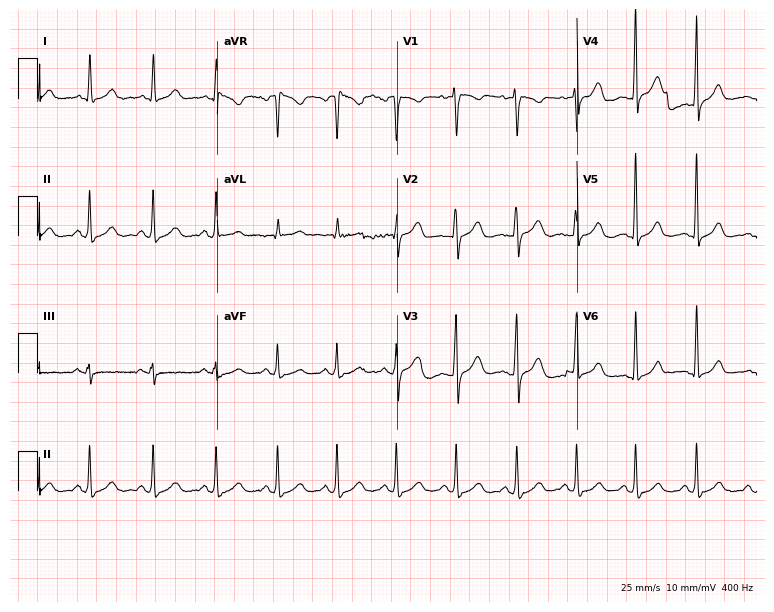
12-lead ECG from a female, 38 years old. No first-degree AV block, right bundle branch block (RBBB), left bundle branch block (LBBB), sinus bradycardia, atrial fibrillation (AF) or sinus tachycardia recorded for this tracing. Other findings, if any, are not listed.